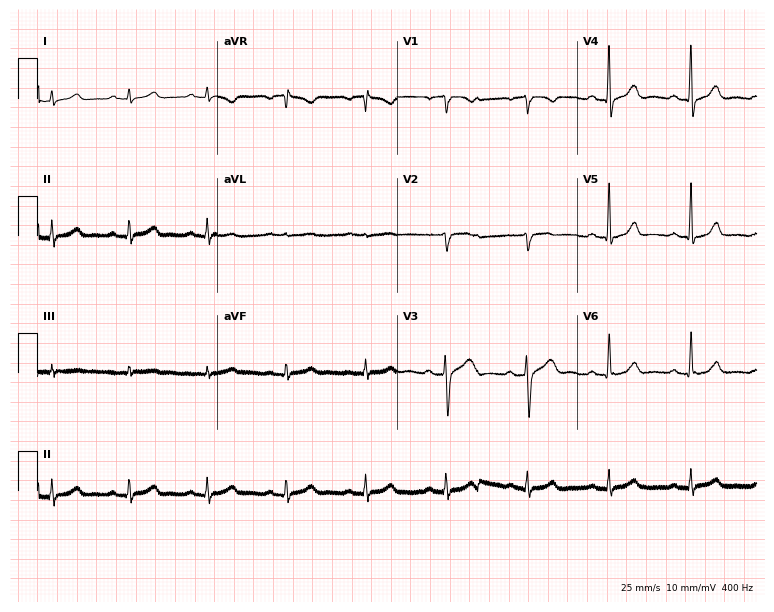
ECG (7.3-second recording at 400 Hz) — a male patient, 61 years old. Labelled as a normal ECG.